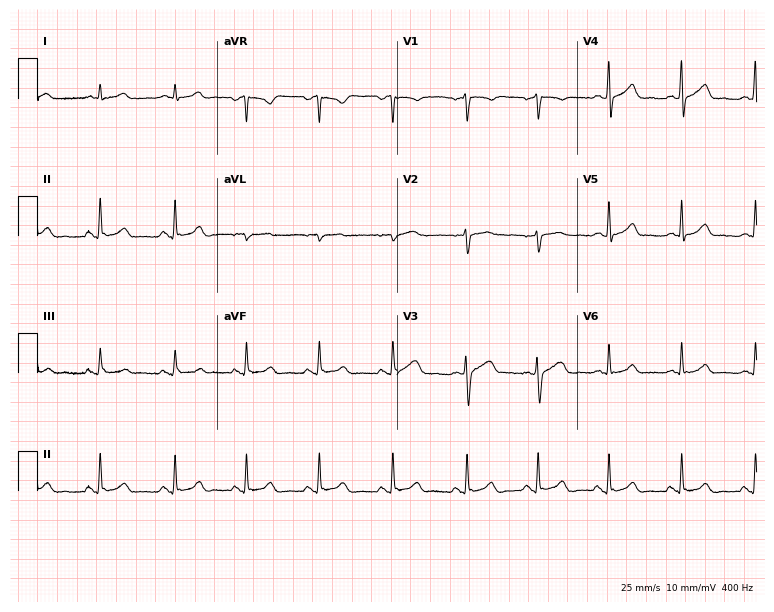
Resting 12-lead electrocardiogram. Patient: a woman, 29 years old. Read as a normal ECG.